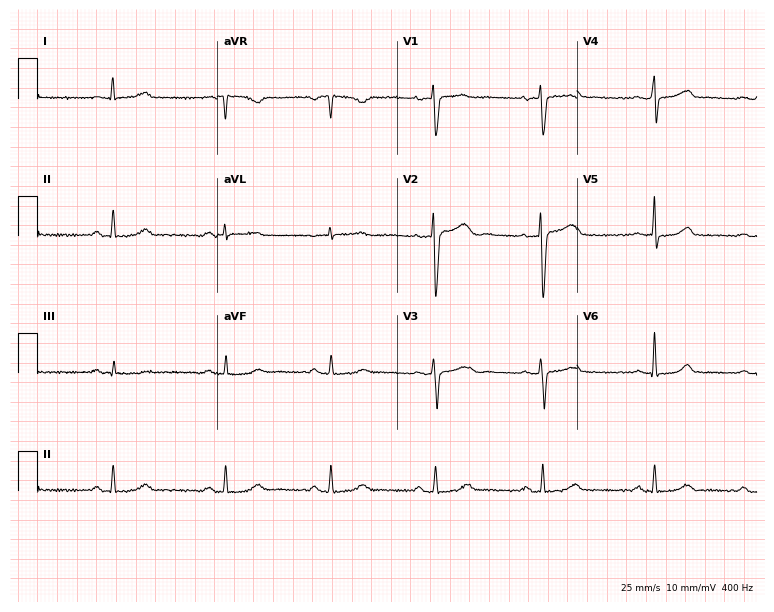
Electrocardiogram, a 42-year-old woman. Overall reading on record: normal ECG.